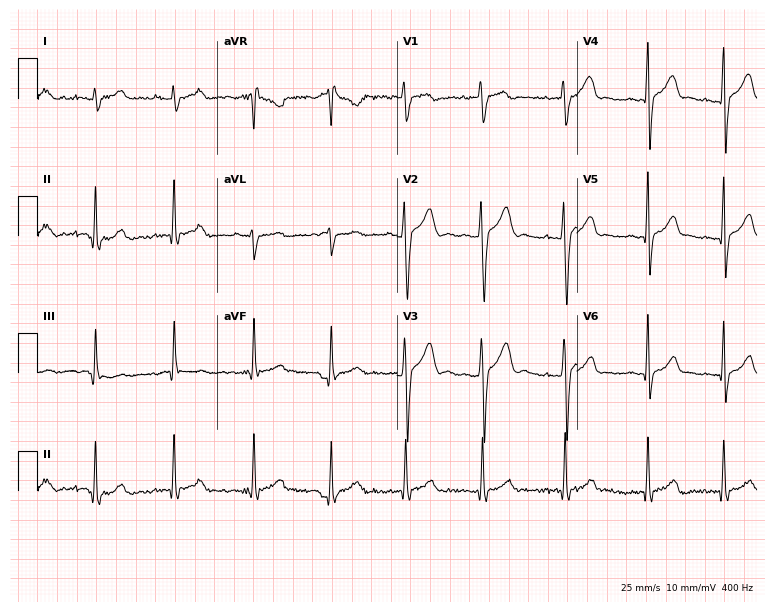
Resting 12-lead electrocardiogram. Patient: a 17-year-old man. None of these six findings is recorded: first-degree AV block, right bundle branch block, left bundle branch block, sinus bradycardia, atrial fibrillation, sinus tachycardia. Other findings, if any, are not listed.